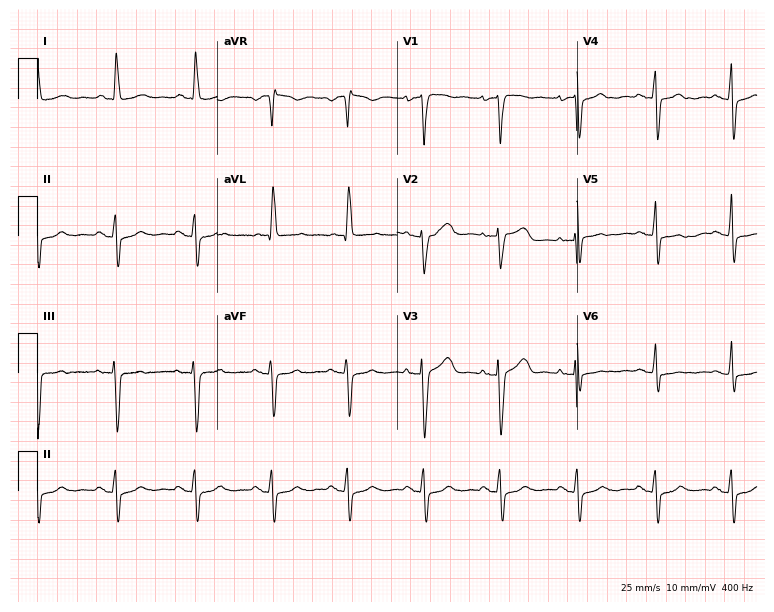
12-lead ECG from a woman, 83 years old. No first-degree AV block, right bundle branch block (RBBB), left bundle branch block (LBBB), sinus bradycardia, atrial fibrillation (AF) or sinus tachycardia recorded for this tracing.